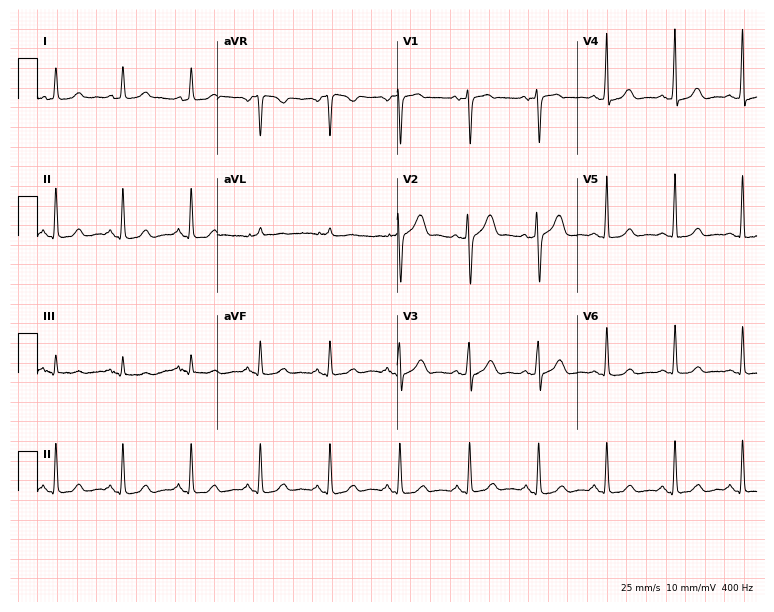
Electrocardiogram, a 54-year-old female. Of the six screened findings (first-degree AV block, right bundle branch block, left bundle branch block, sinus bradycardia, atrial fibrillation, sinus tachycardia), none is recorded.